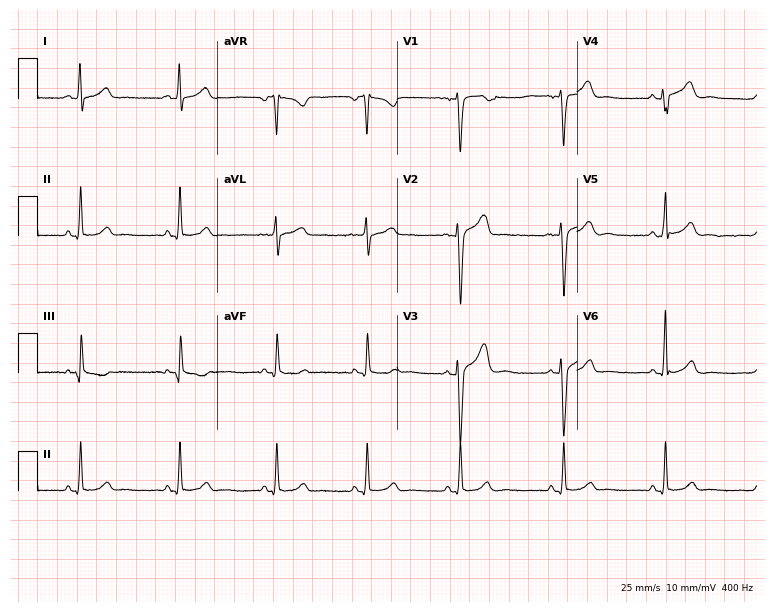
12-lead ECG from a male, 20 years old. Recorded interpretation: within normal limits.